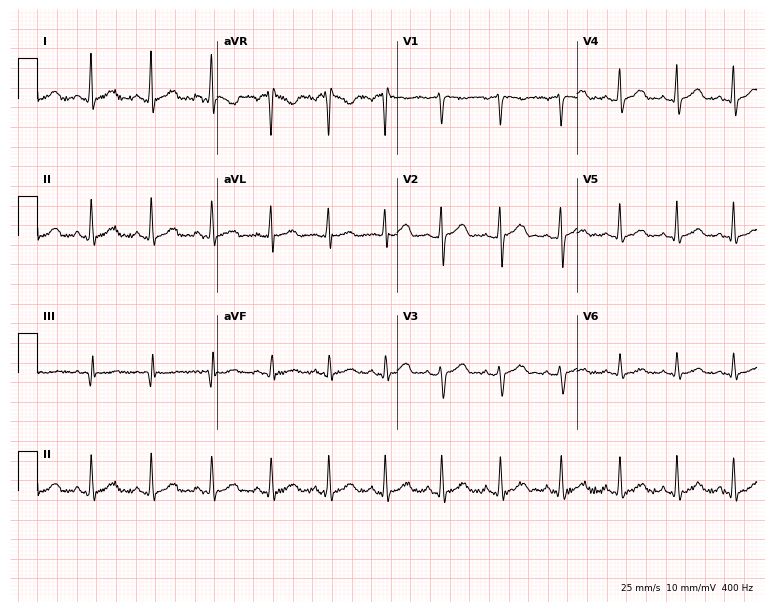
Resting 12-lead electrocardiogram (7.3-second recording at 400 Hz). Patient: a woman, 41 years old. The tracing shows sinus tachycardia (a sinus rate of 100 beats per minute or more).